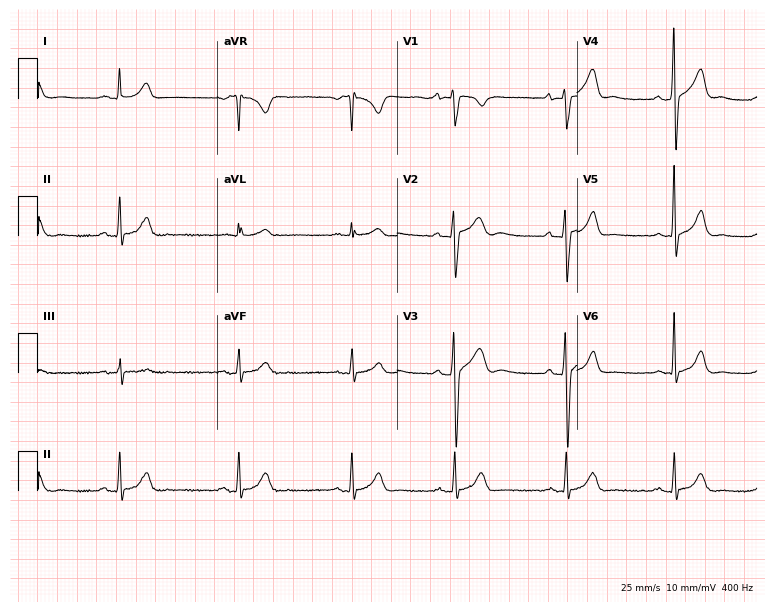
Resting 12-lead electrocardiogram. Patient: a 20-year-old man. None of these six findings is recorded: first-degree AV block, right bundle branch block, left bundle branch block, sinus bradycardia, atrial fibrillation, sinus tachycardia. Findings outside these six are not listed.